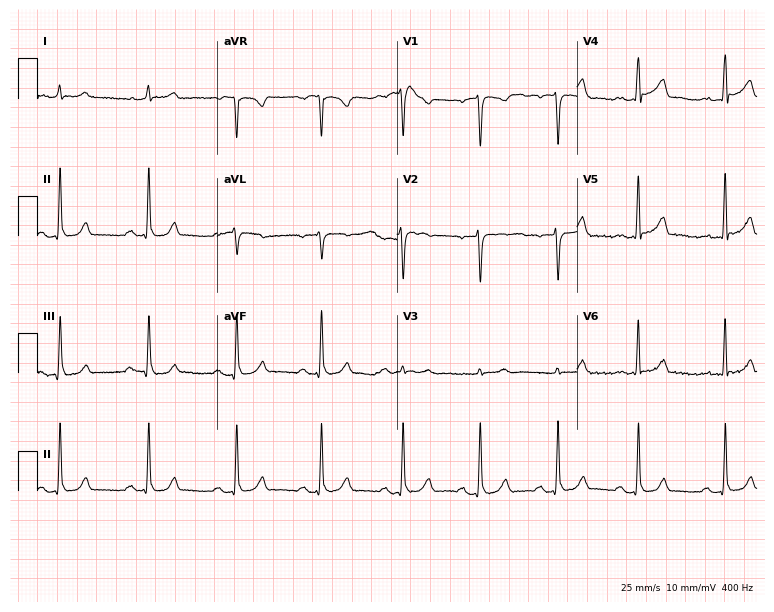
Electrocardiogram, a male, 42 years old. Overall reading on record: normal ECG.